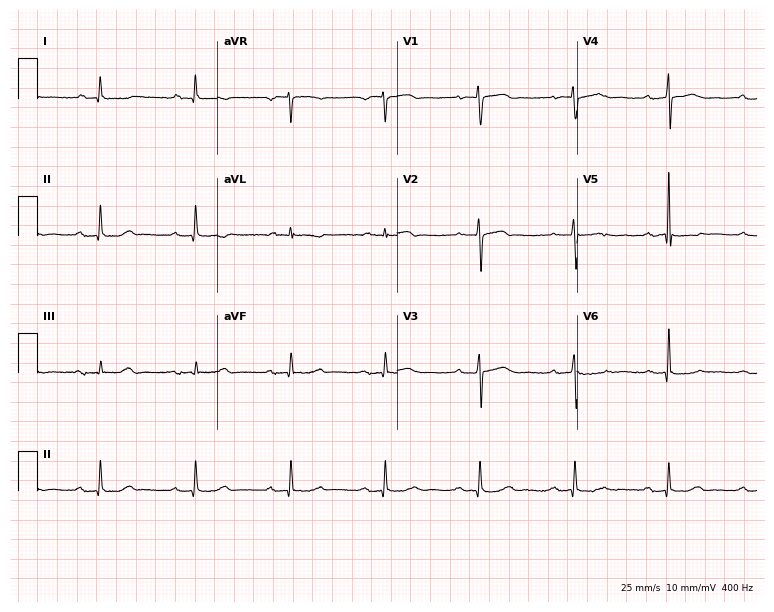
12-lead ECG from a man, 80 years old. Screened for six findings — first-degree AV block, right bundle branch block, left bundle branch block, sinus bradycardia, atrial fibrillation, sinus tachycardia — none is recorded.